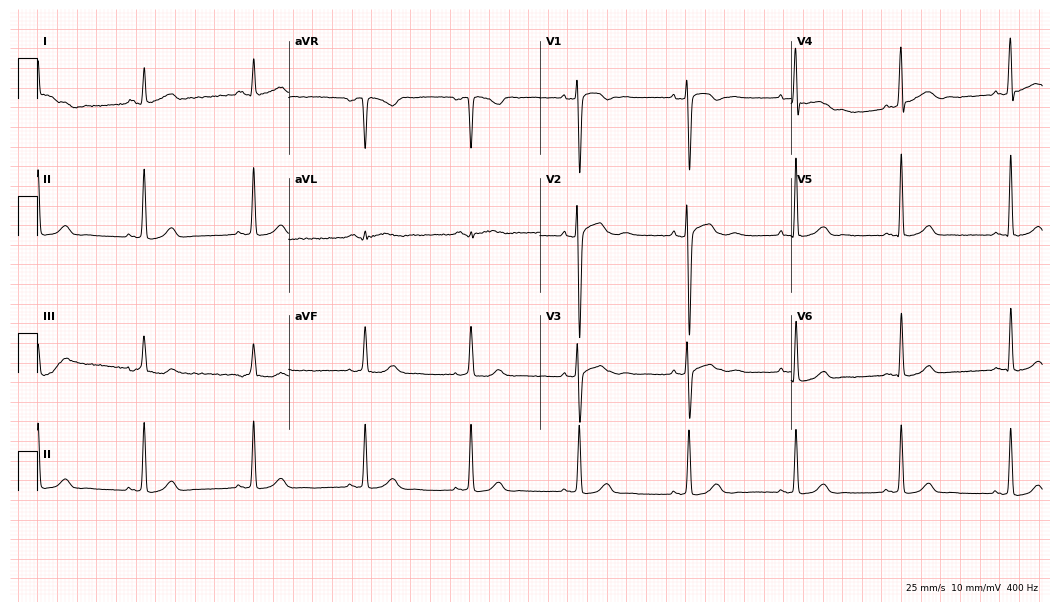
Electrocardiogram (10.2-second recording at 400 Hz), a female, 52 years old. Overall reading on record: normal ECG.